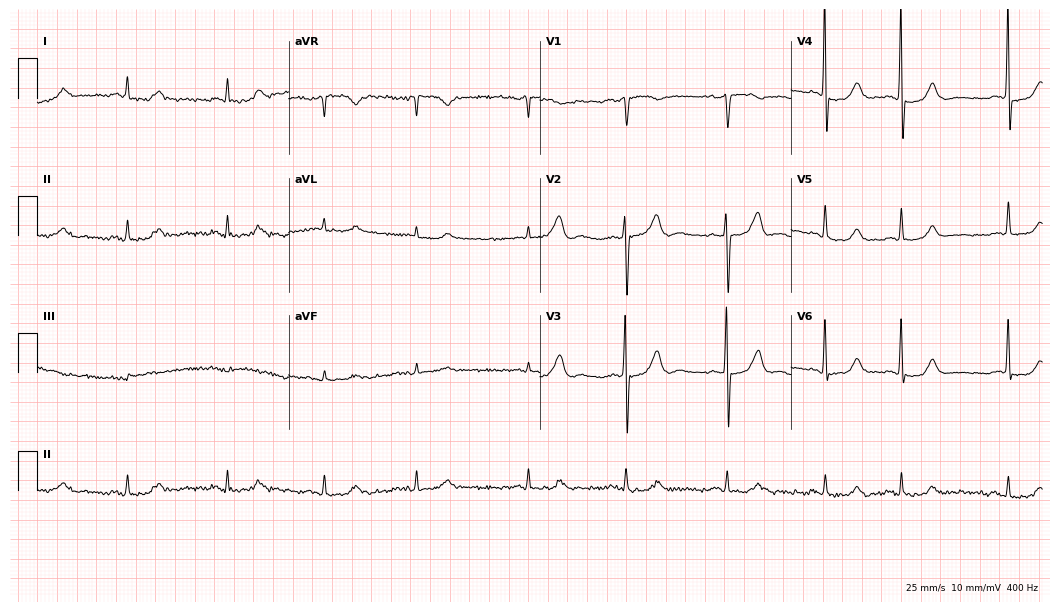
Electrocardiogram (10.2-second recording at 400 Hz), a woman, 76 years old. Of the six screened findings (first-degree AV block, right bundle branch block (RBBB), left bundle branch block (LBBB), sinus bradycardia, atrial fibrillation (AF), sinus tachycardia), none is recorded.